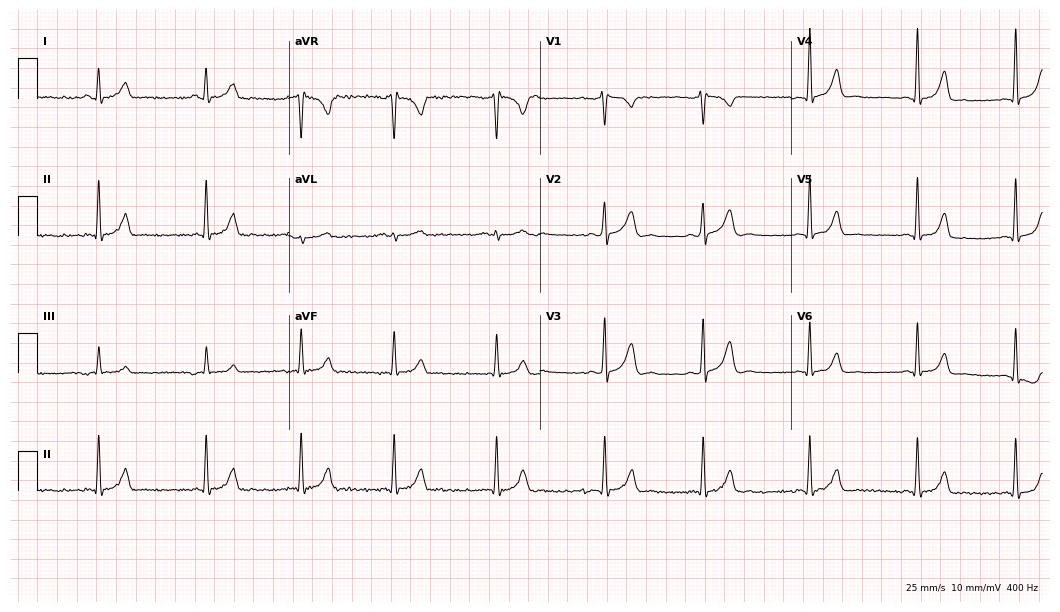
ECG (10.2-second recording at 400 Hz) — a 22-year-old female patient. Labelled as a normal ECG.